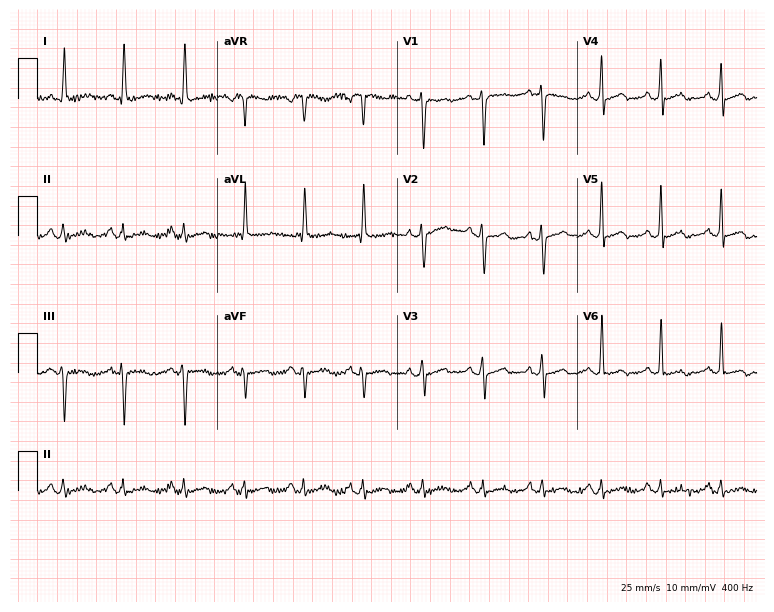
Electrocardiogram, a 66-year-old female. Of the six screened findings (first-degree AV block, right bundle branch block (RBBB), left bundle branch block (LBBB), sinus bradycardia, atrial fibrillation (AF), sinus tachycardia), none is recorded. Other findings, if any, are not listed.